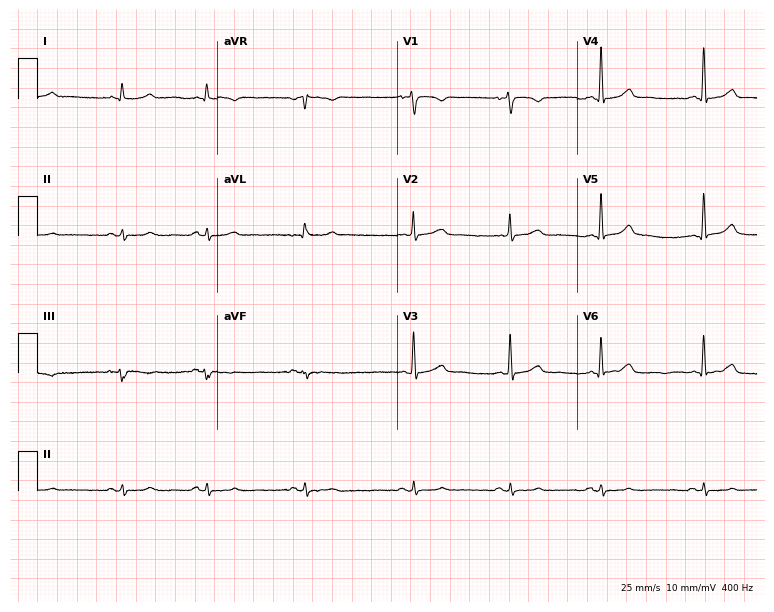
Standard 12-lead ECG recorded from a female patient, 39 years old. None of these six findings is recorded: first-degree AV block, right bundle branch block, left bundle branch block, sinus bradycardia, atrial fibrillation, sinus tachycardia. Other findings, if any, are not listed.